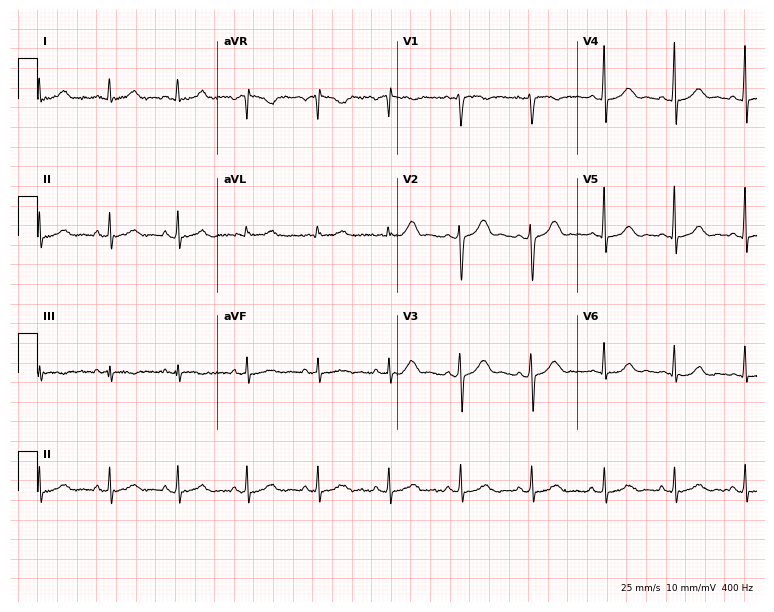
Standard 12-lead ECG recorded from a 45-year-old woman (7.3-second recording at 400 Hz). None of these six findings is recorded: first-degree AV block, right bundle branch block, left bundle branch block, sinus bradycardia, atrial fibrillation, sinus tachycardia. Only these six findings were labelled.